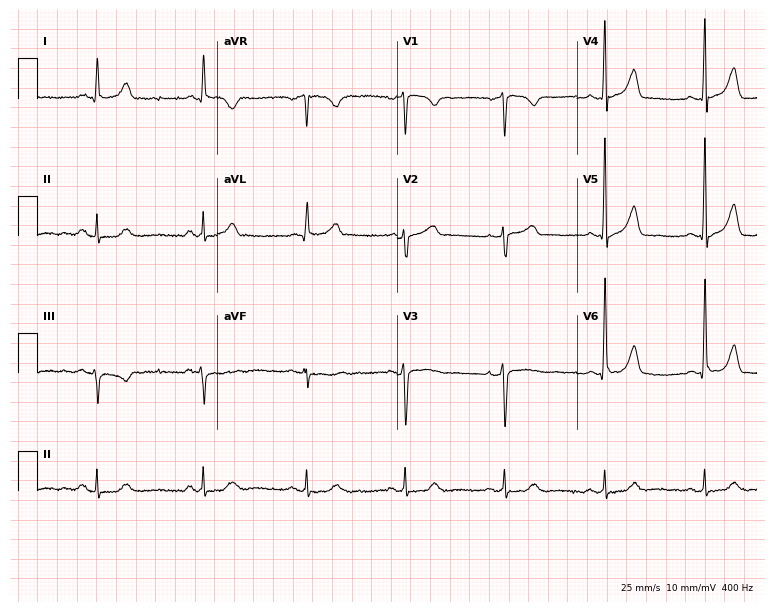
Resting 12-lead electrocardiogram. Patient: a 63-year-old man. None of these six findings is recorded: first-degree AV block, right bundle branch block, left bundle branch block, sinus bradycardia, atrial fibrillation, sinus tachycardia. Only these six findings were labelled.